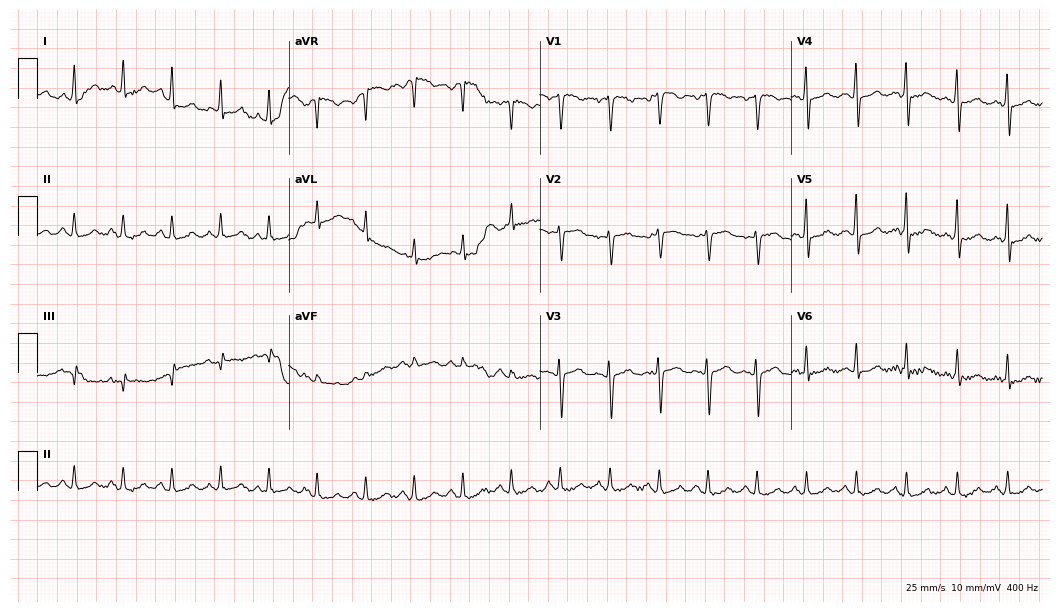
12-lead ECG from a woman, 48 years old (10.2-second recording at 400 Hz). Shows sinus tachycardia (a sinus rate of 100 beats per minute or more).